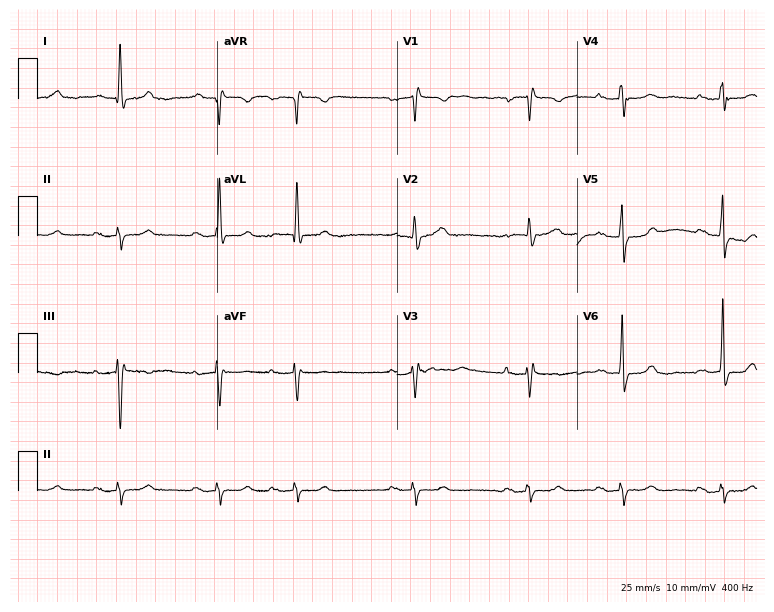
ECG — a female patient, 83 years old. Screened for six findings — first-degree AV block, right bundle branch block, left bundle branch block, sinus bradycardia, atrial fibrillation, sinus tachycardia — none is recorded.